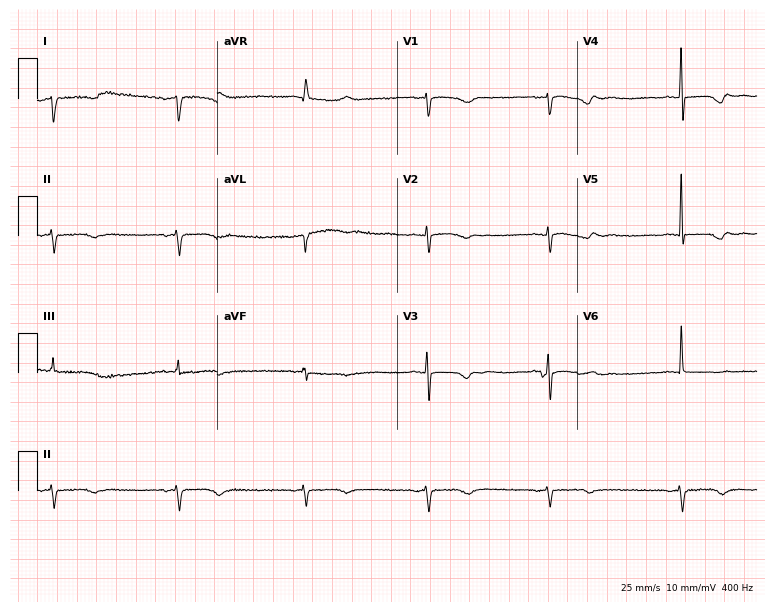
12-lead ECG from a 71-year-old female. Screened for six findings — first-degree AV block, right bundle branch block, left bundle branch block, sinus bradycardia, atrial fibrillation, sinus tachycardia — none is recorded.